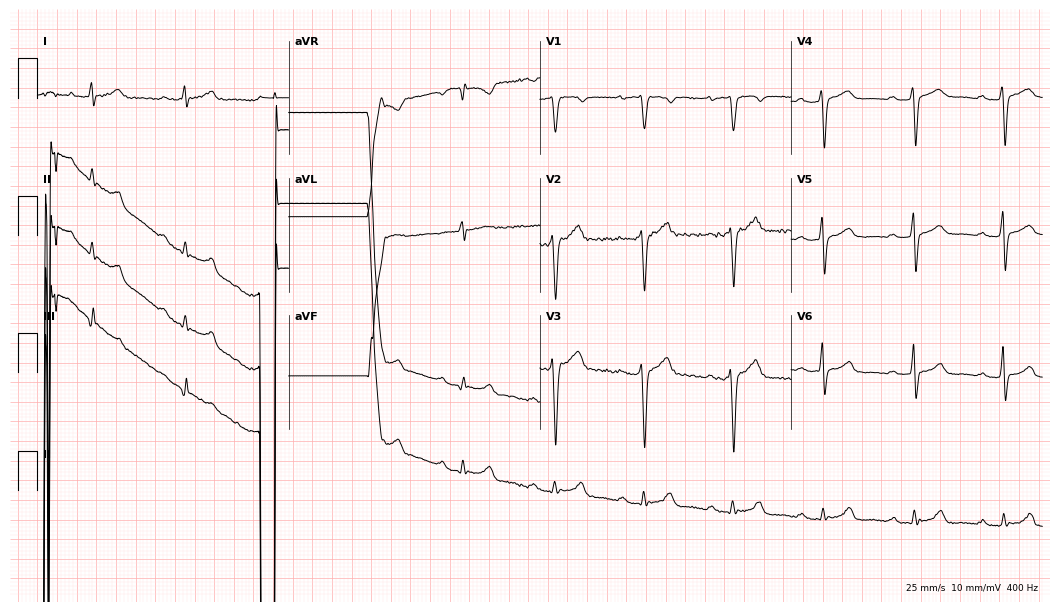
ECG (10.2-second recording at 400 Hz) — a male, 33 years old. Findings include first-degree AV block.